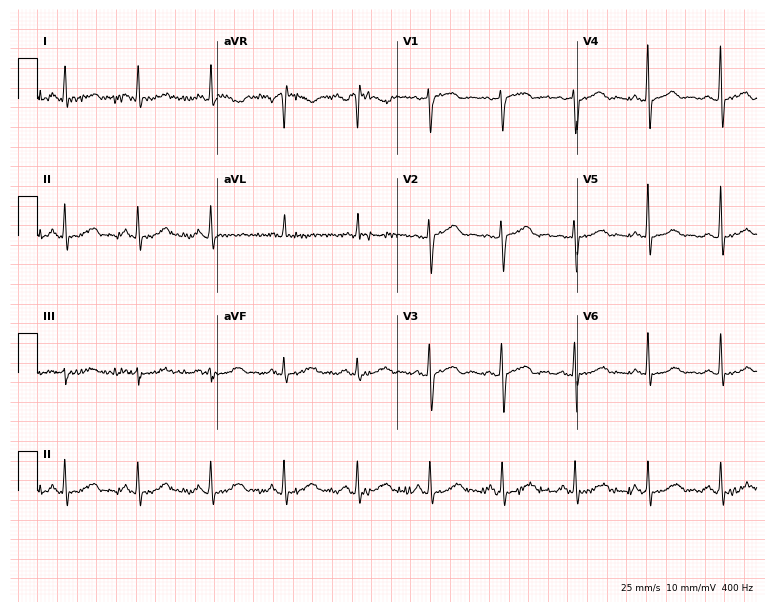
12-lead ECG (7.3-second recording at 400 Hz) from a 65-year-old female patient. Labelled as a normal ECG.